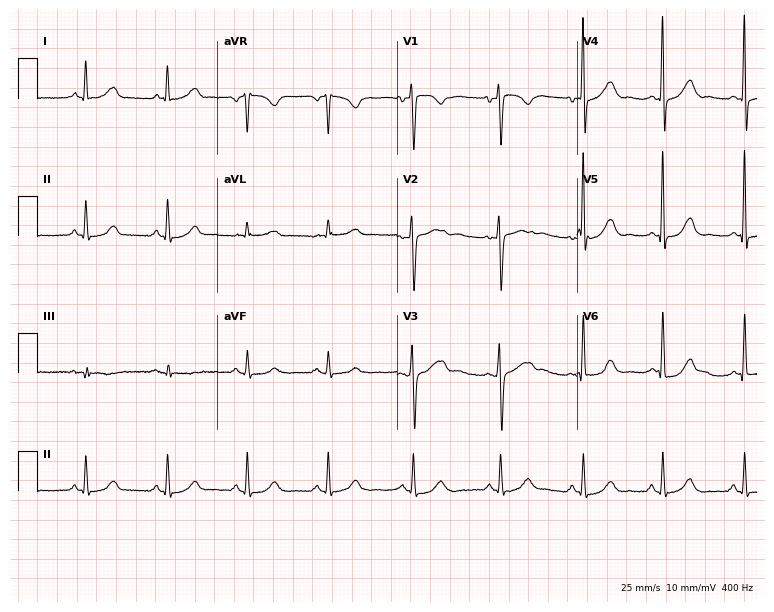
ECG (7.3-second recording at 400 Hz) — a female, 46 years old. Labelled as a normal ECG.